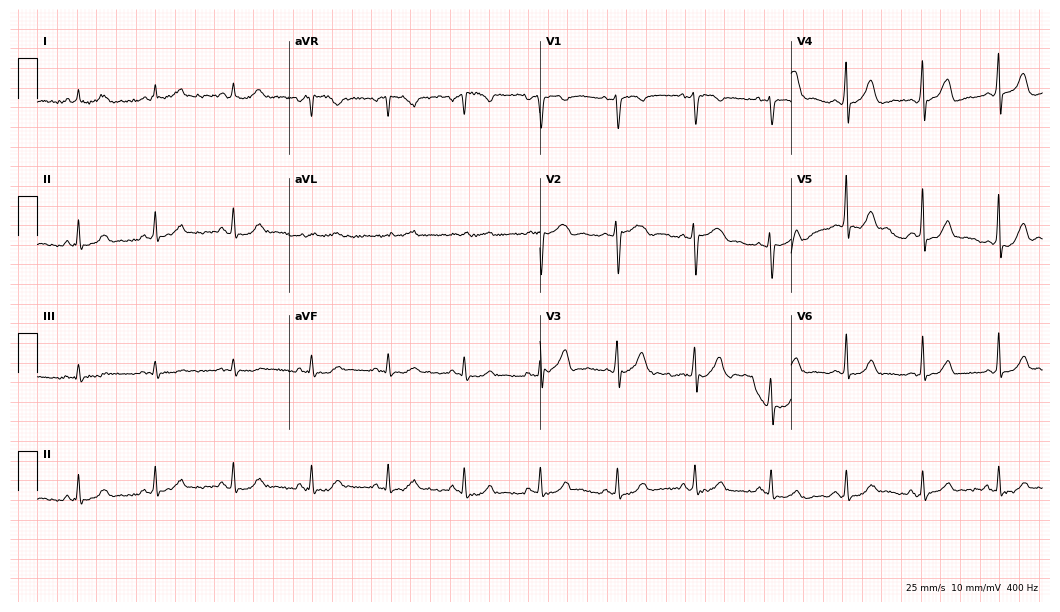
12-lead ECG from a 46-year-old female (10.2-second recording at 400 Hz). Recorded interpretation: within normal limits.